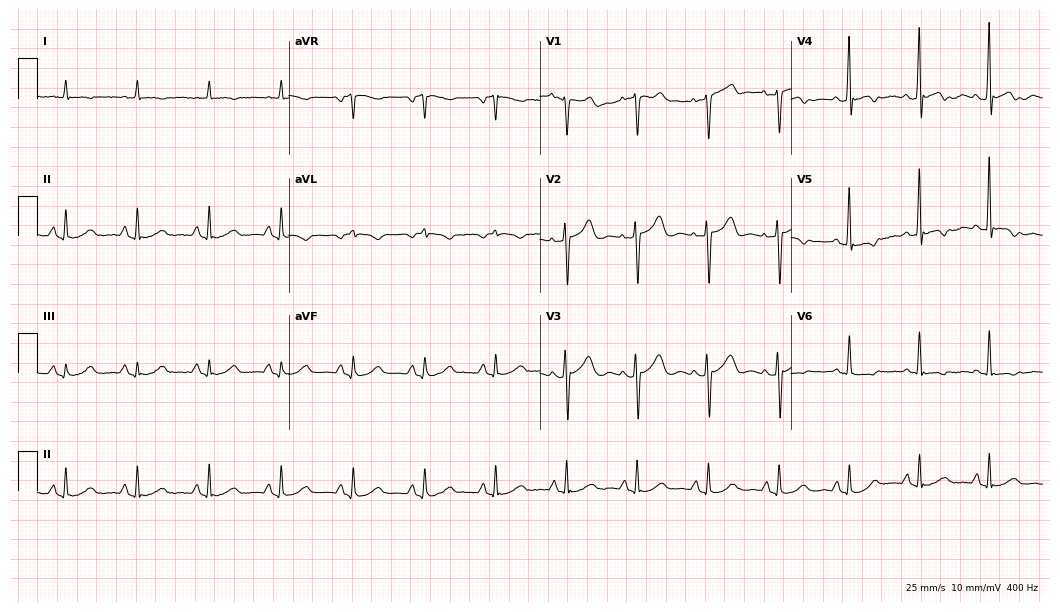
12-lead ECG from a woman, 63 years old (10.2-second recording at 400 Hz). No first-degree AV block, right bundle branch block, left bundle branch block, sinus bradycardia, atrial fibrillation or sinus tachycardia recorded for this tracing.